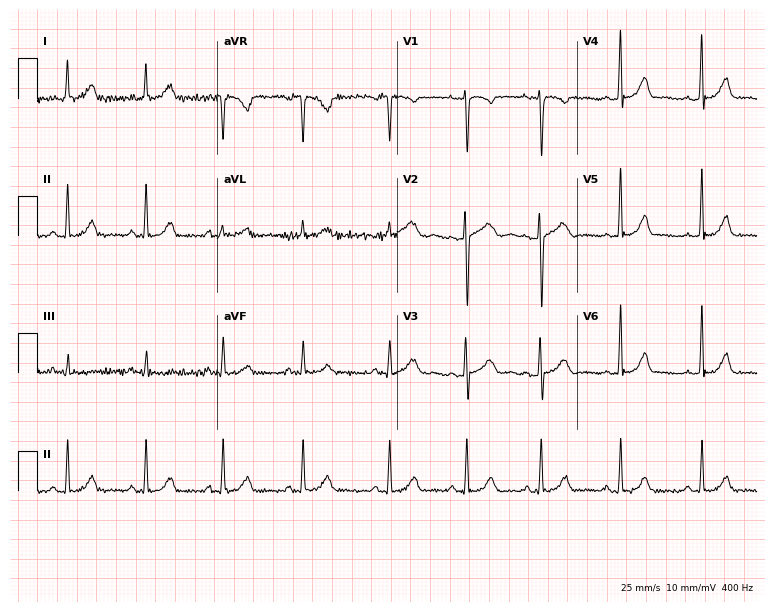
Electrocardiogram, a 37-year-old female patient. Of the six screened findings (first-degree AV block, right bundle branch block (RBBB), left bundle branch block (LBBB), sinus bradycardia, atrial fibrillation (AF), sinus tachycardia), none is recorded.